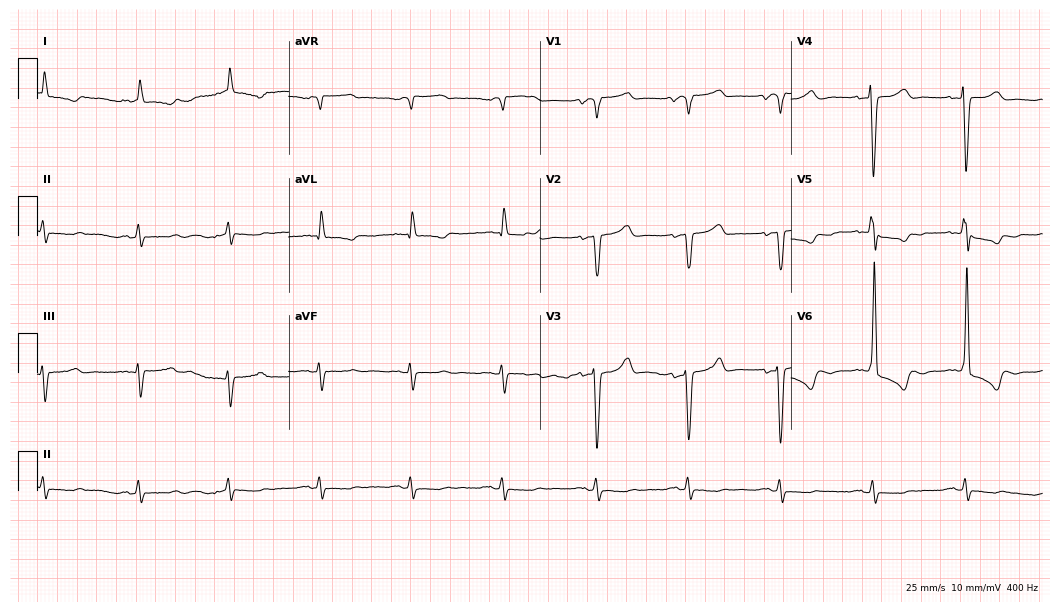
Electrocardiogram, a 69-year-old man. Of the six screened findings (first-degree AV block, right bundle branch block (RBBB), left bundle branch block (LBBB), sinus bradycardia, atrial fibrillation (AF), sinus tachycardia), none is recorded.